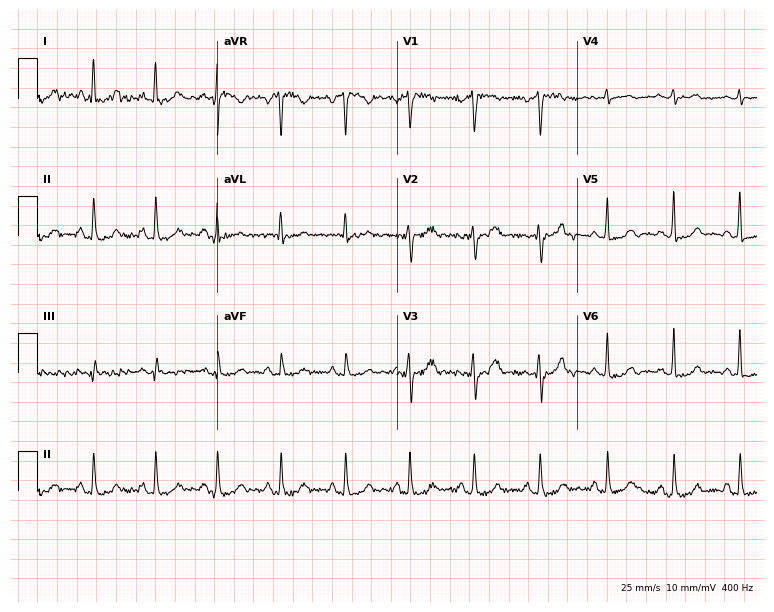
Resting 12-lead electrocardiogram. Patient: a female, 48 years old. Read as a normal ECG.